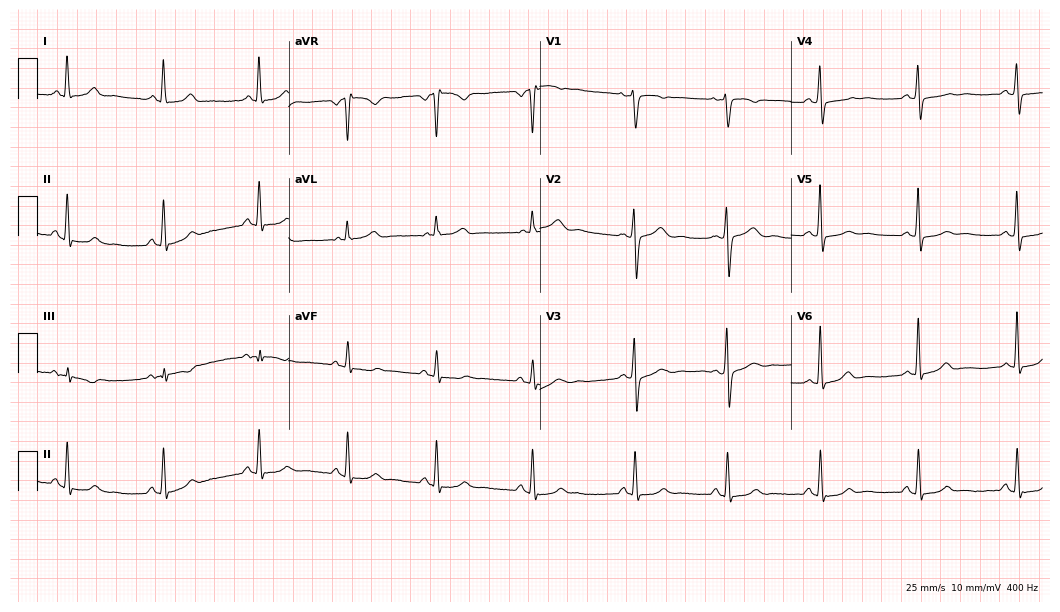
12-lead ECG (10.2-second recording at 400 Hz) from a 38-year-old female patient. Labelled as a normal ECG.